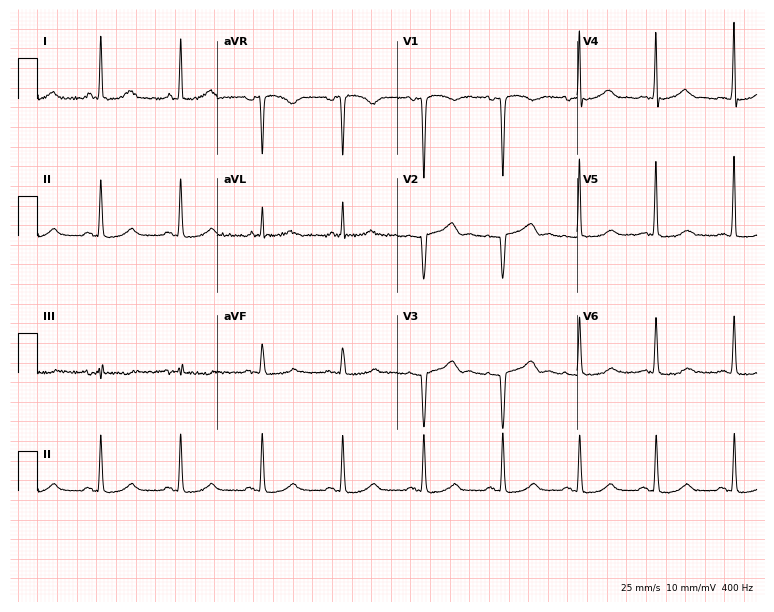
12-lead ECG from a 45-year-old female patient (7.3-second recording at 400 Hz). No first-degree AV block, right bundle branch block, left bundle branch block, sinus bradycardia, atrial fibrillation or sinus tachycardia recorded for this tracing. Other findings, if any, are not listed.